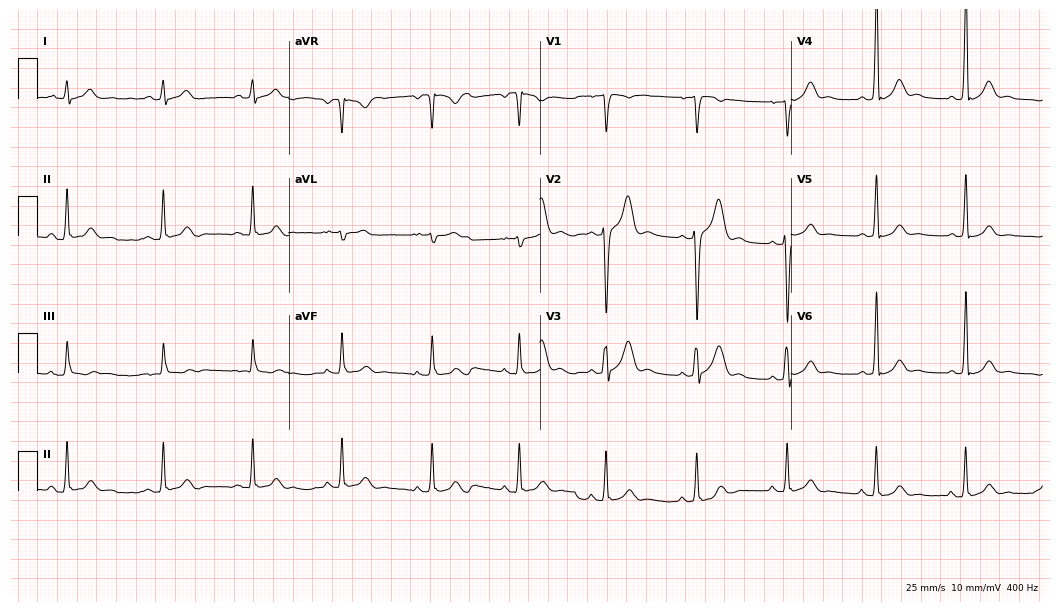
Standard 12-lead ECG recorded from a 29-year-old male patient. Read as a normal ECG.